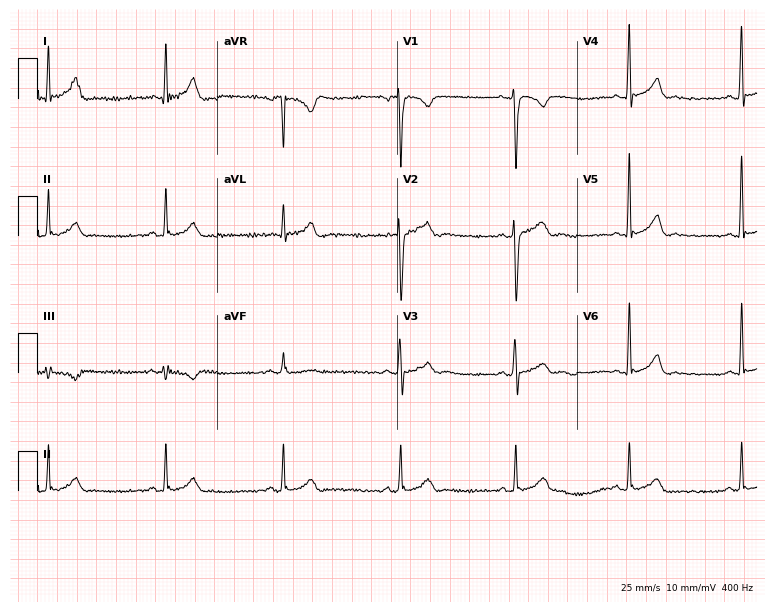
Electrocardiogram (7.3-second recording at 400 Hz), a 32-year-old male patient. Overall reading on record: normal ECG.